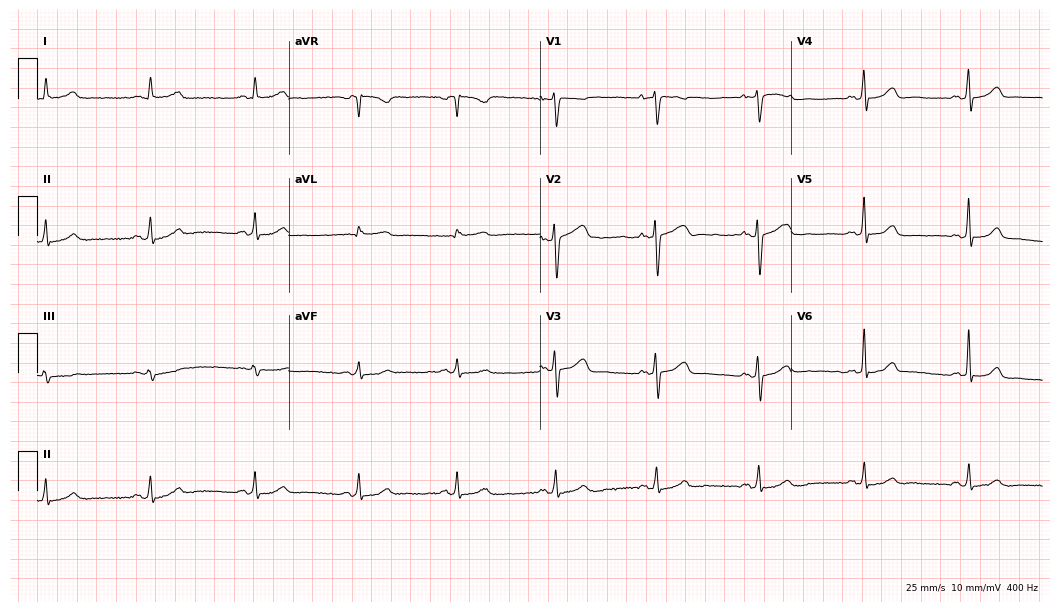
Resting 12-lead electrocardiogram. Patient: a 53-year-old female. Read as a normal ECG.